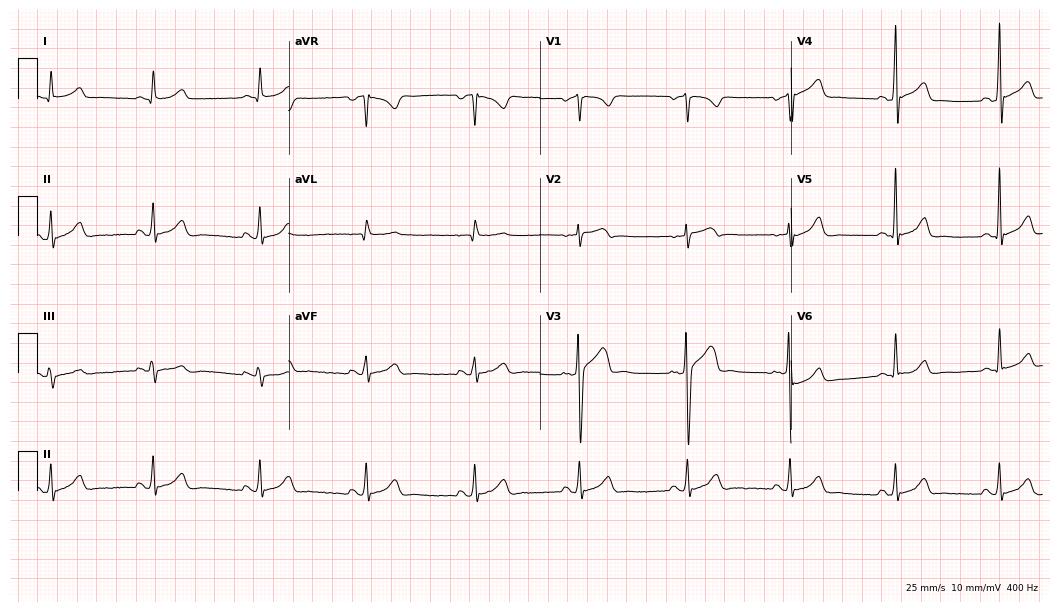
Standard 12-lead ECG recorded from a male patient, 40 years old. Read as a normal ECG.